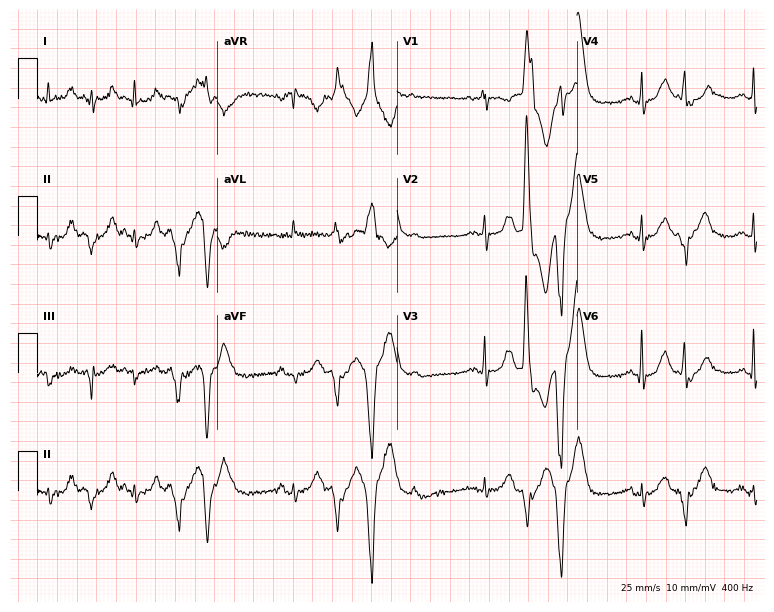
Resting 12-lead electrocardiogram. Patient: a 78-year-old woman. None of these six findings is recorded: first-degree AV block, right bundle branch block (RBBB), left bundle branch block (LBBB), sinus bradycardia, atrial fibrillation (AF), sinus tachycardia.